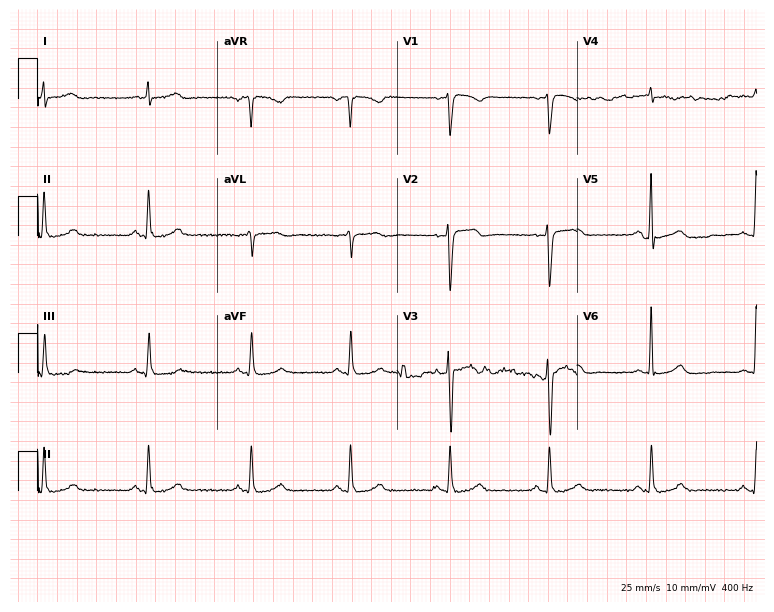
12-lead ECG from a 33-year-old man (7.3-second recording at 400 Hz). Recorded interpretation: within normal limits.